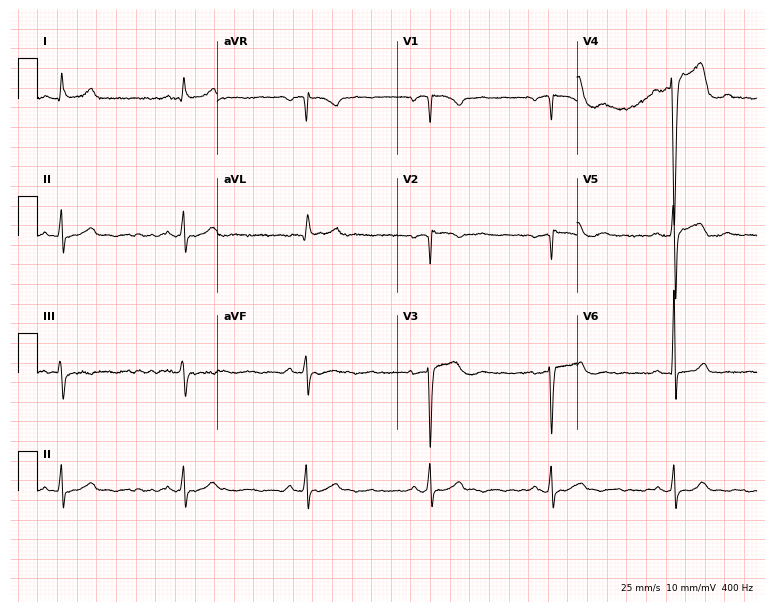
Resting 12-lead electrocardiogram. Patient: a man, 47 years old. The tracing shows sinus bradycardia (a sinus rate of 50 beats per minute or less).